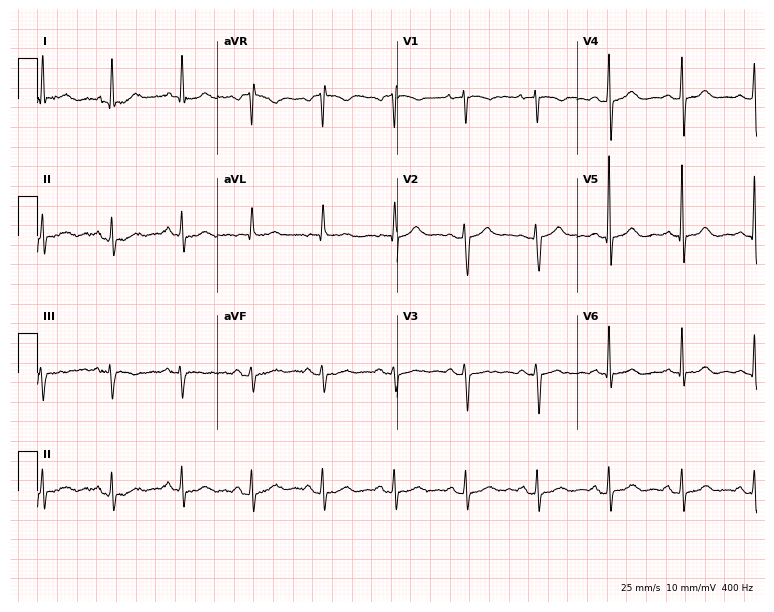
ECG — a 74-year-old woman. Labelled as a normal ECG.